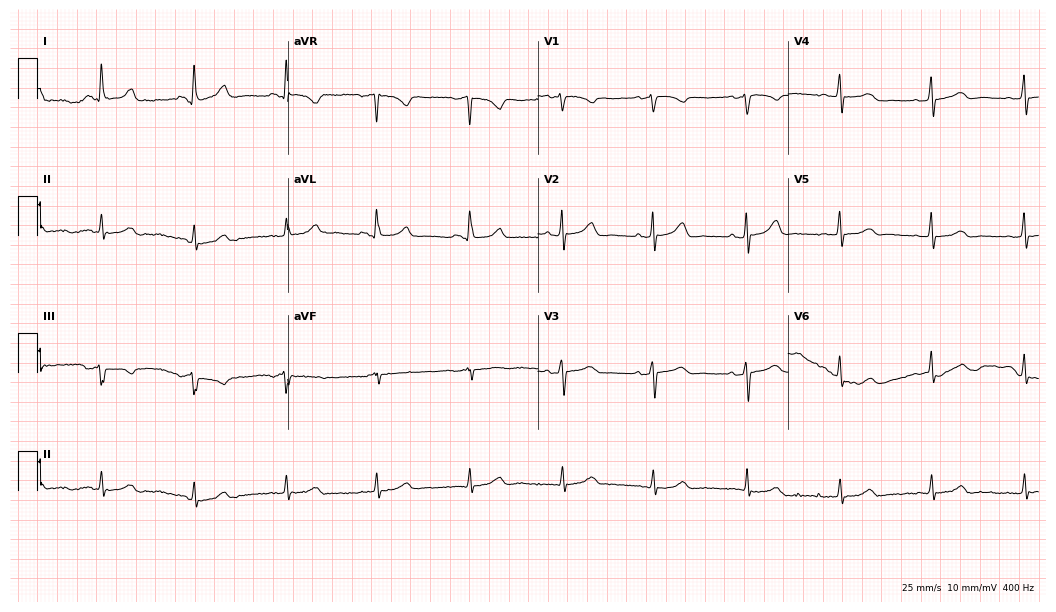
Electrocardiogram (10.2-second recording at 400 Hz), a 64-year-old female patient. Overall reading on record: normal ECG.